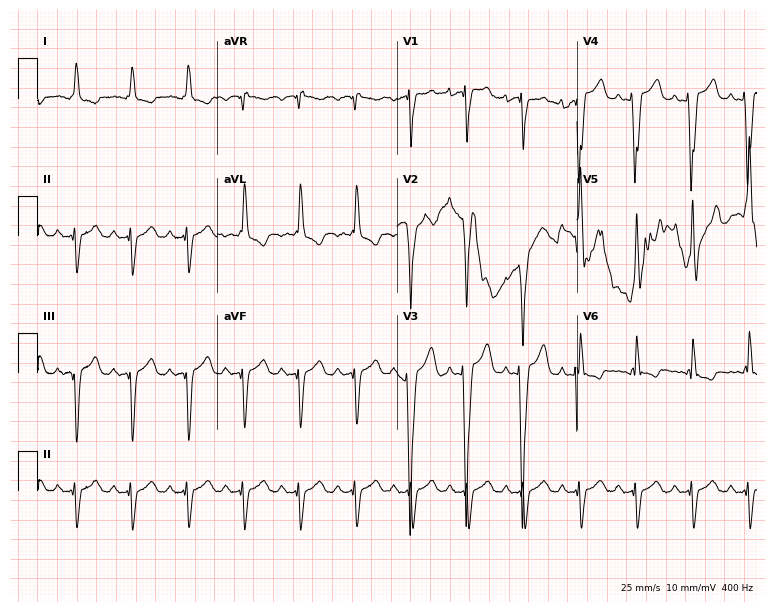
Standard 12-lead ECG recorded from a man, 73 years old. The tracing shows left bundle branch block (LBBB), sinus tachycardia (a sinus rate of 100 beats per minute or more).